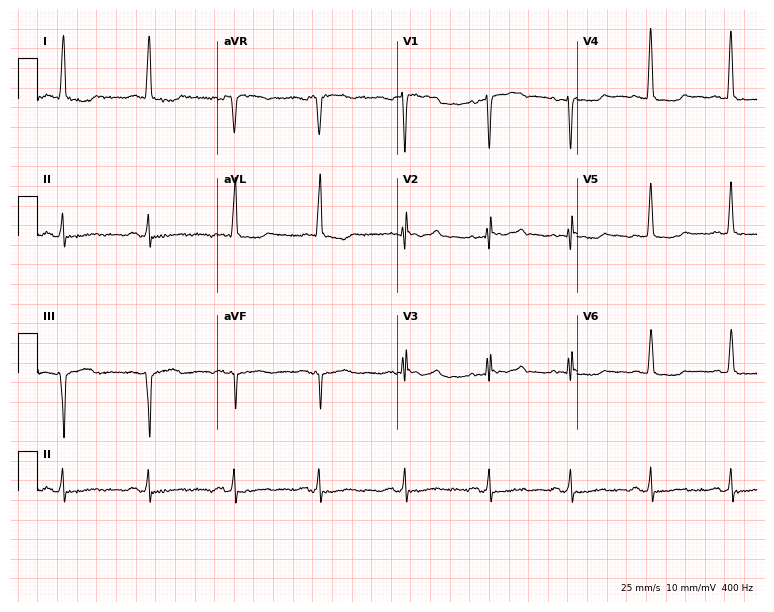
Standard 12-lead ECG recorded from an 81-year-old female. None of these six findings is recorded: first-degree AV block, right bundle branch block (RBBB), left bundle branch block (LBBB), sinus bradycardia, atrial fibrillation (AF), sinus tachycardia. Only these six findings were labelled.